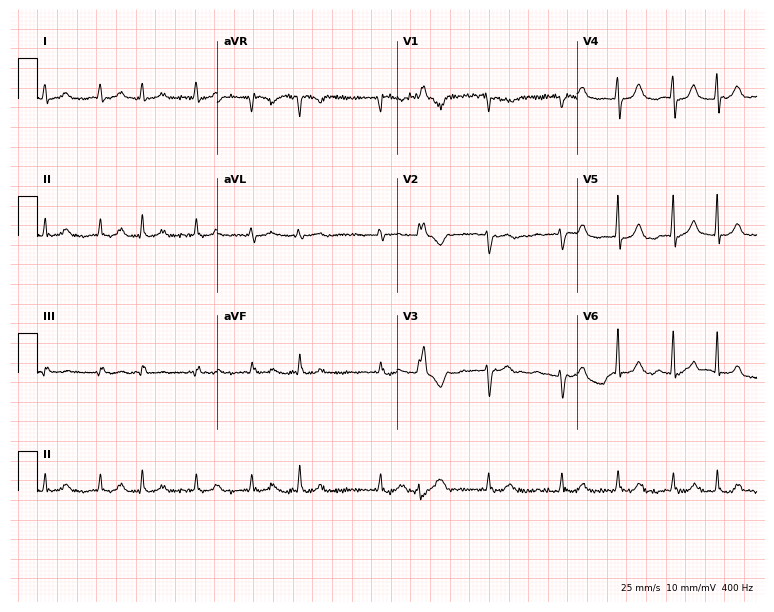
Electrocardiogram (7.3-second recording at 400 Hz), a female, 77 years old. Interpretation includes atrial fibrillation (AF).